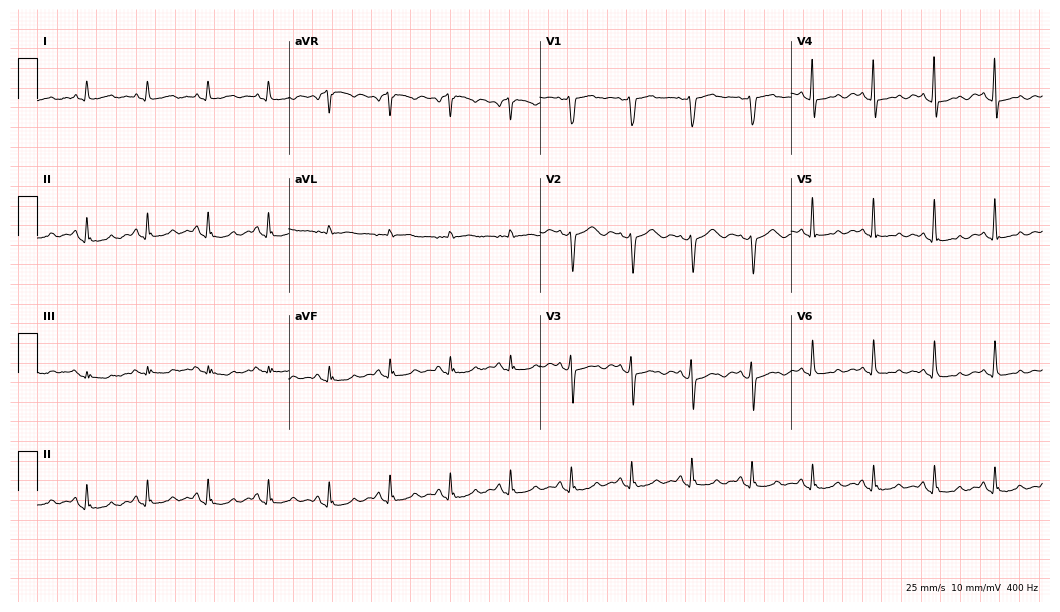
12-lead ECG (10.2-second recording at 400 Hz) from a woman, 67 years old. Screened for six findings — first-degree AV block, right bundle branch block, left bundle branch block, sinus bradycardia, atrial fibrillation, sinus tachycardia — none is recorded.